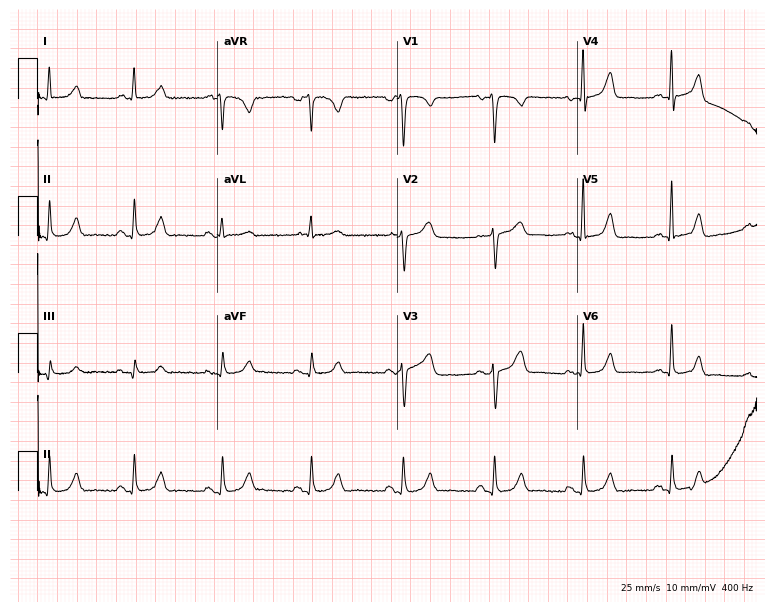
12-lead ECG from a 50-year-old female patient (7.3-second recording at 400 Hz). Recorded interpretation: within normal limits.